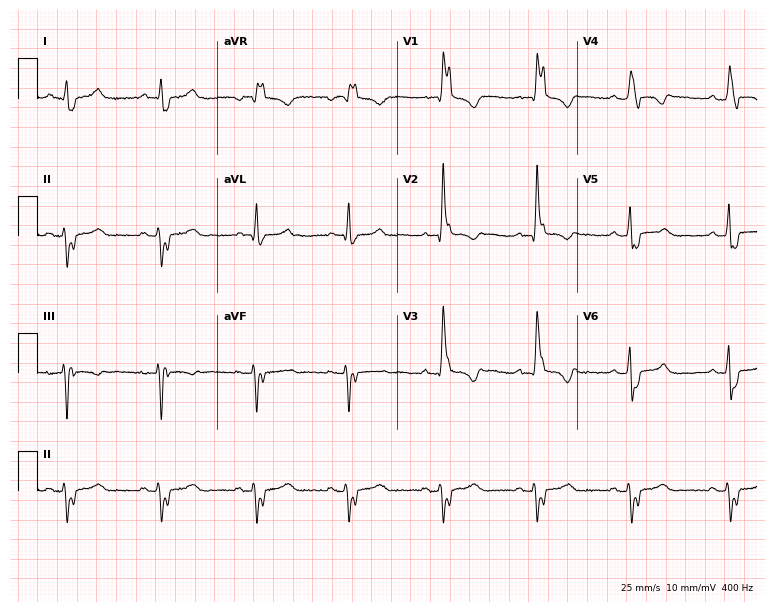
Electrocardiogram (7.3-second recording at 400 Hz), a male patient, 68 years old. Interpretation includes right bundle branch block.